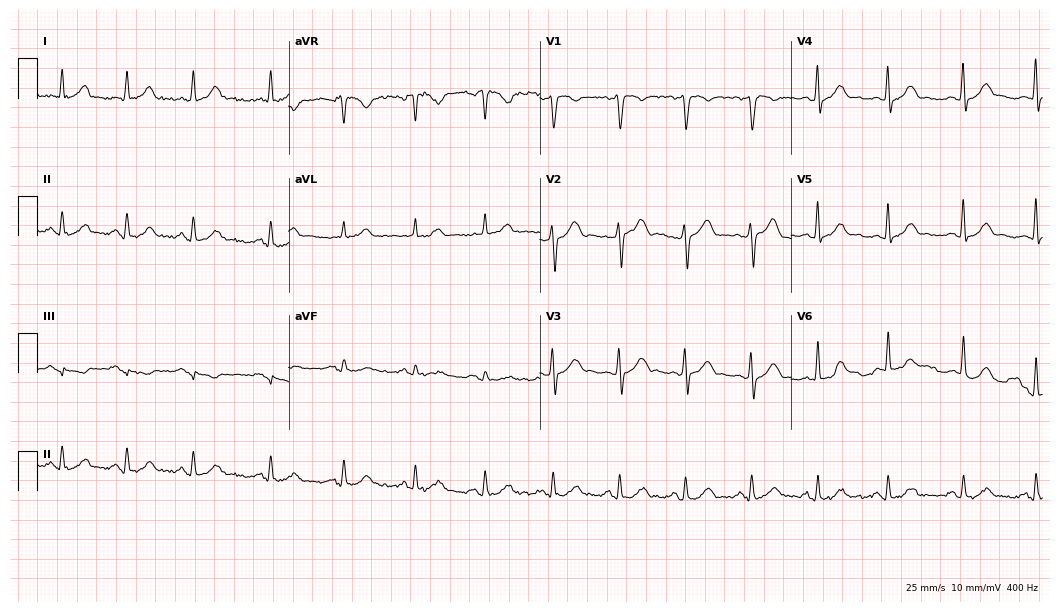
Standard 12-lead ECG recorded from a male patient, 52 years old (10.2-second recording at 400 Hz). None of these six findings is recorded: first-degree AV block, right bundle branch block, left bundle branch block, sinus bradycardia, atrial fibrillation, sinus tachycardia. Only these six findings were labelled.